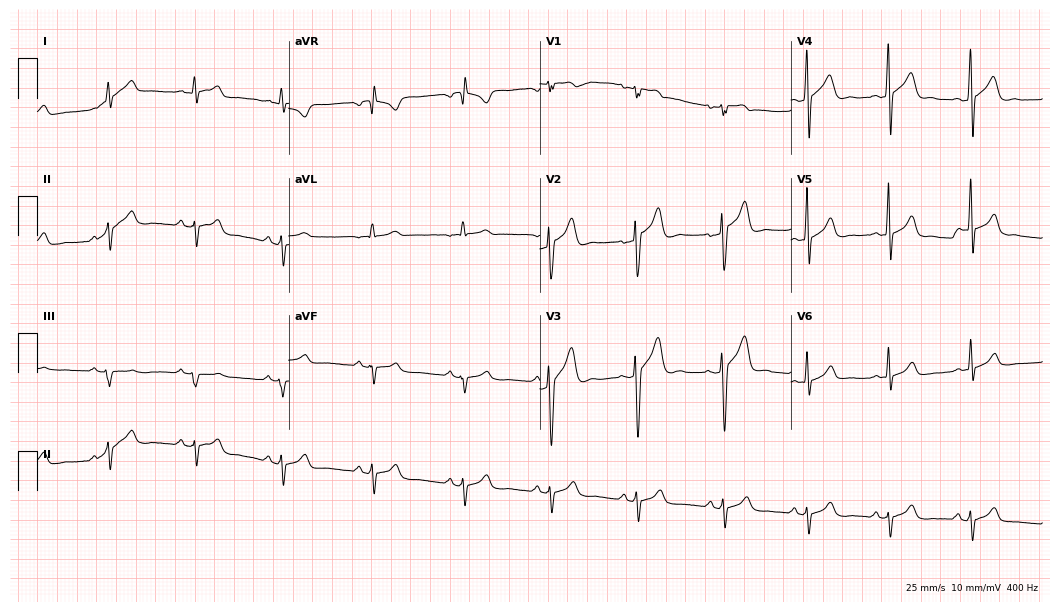
12-lead ECG from a 28-year-old man. Screened for six findings — first-degree AV block, right bundle branch block (RBBB), left bundle branch block (LBBB), sinus bradycardia, atrial fibrillation (AF), sinus tachycardia — none is recorded. Findings outside these six are not listed.